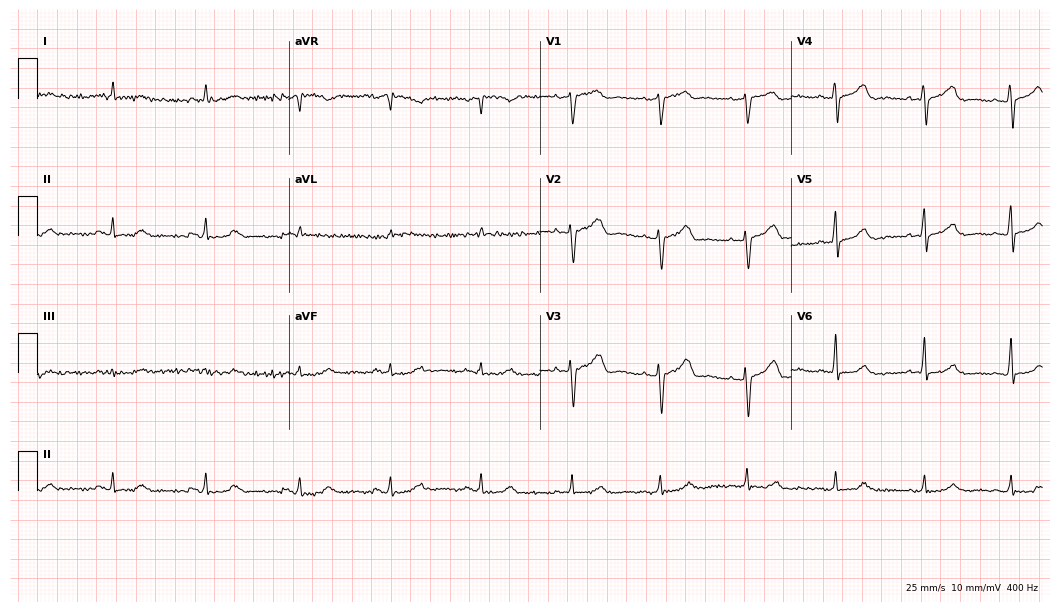
Standard 12-lead ECG recorded from a male patient, 75 years old. None of these six findings is recorded: first-degree AV block, right bundle branch block, left bundle branch block, sinus bradycardia, atrial fibrillation, sinus tachycardia. Findings outside these six are not listed.